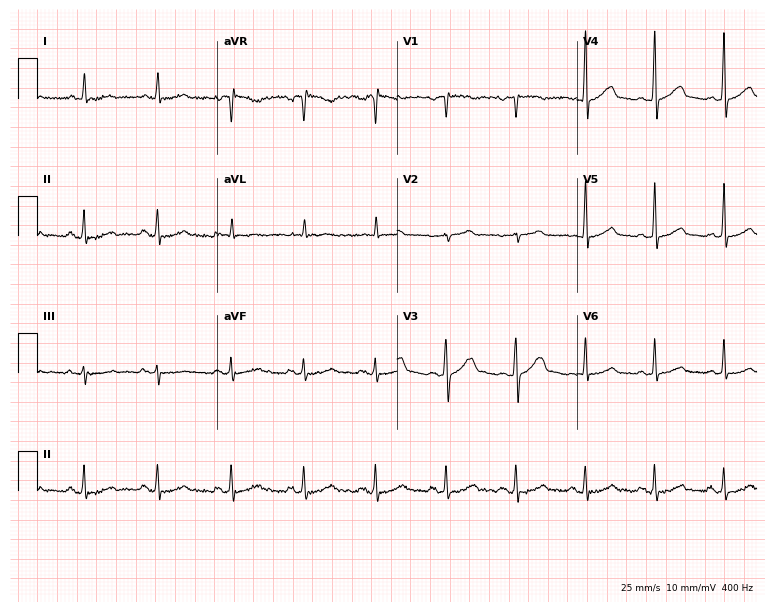
12-lead ECG from a 53-year-old female patient. No first-degree AV block, right bundle branch block (RBBB), left bundle branch block (LBBB), sinus bradycardia, atrial fibrillation (AF) or sinus tachycardia recorded for this tracing. Findings outside these six are not listed.